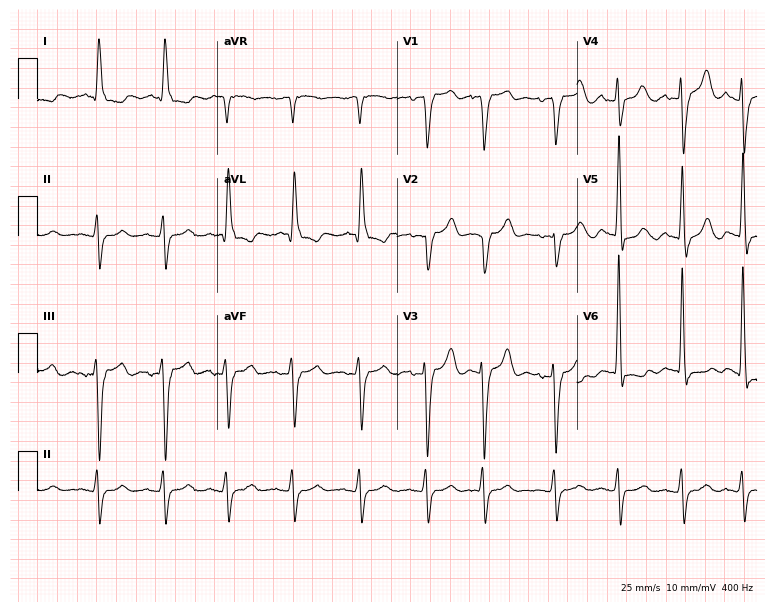
12-lead ECG from an 81-year-old female (7.3-second recording at 400 Hz). No first-degree AV block, right bundle branch block, left bundle branch block, sinus bradycardia, atrial fibrillation or sinus tachycardia recorded for this tracing.